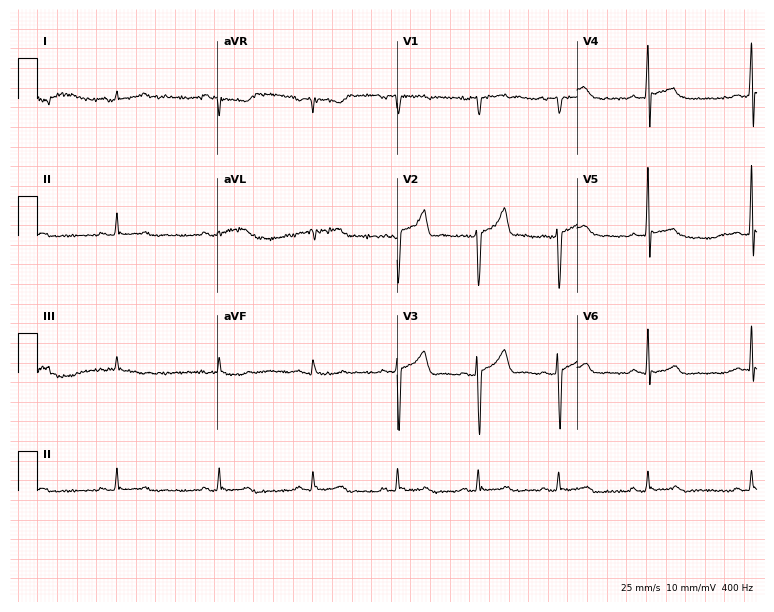
Electrocardiogram (7.3-second recording at 400 Hz), a 24-year-old male patient. Overall reading on record: normal ECG.